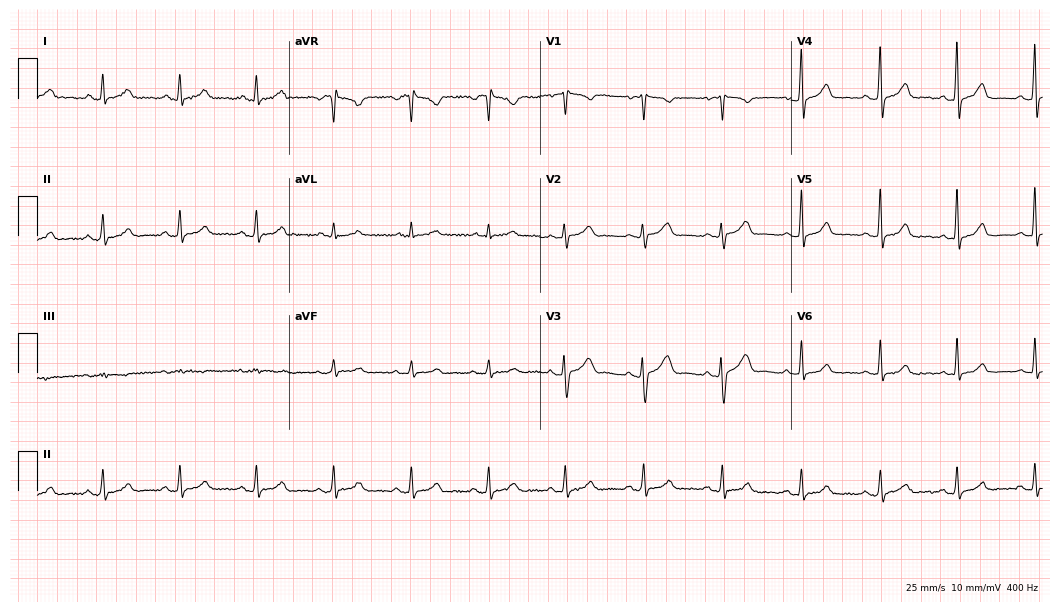
ECG (10.2-second recording at 400 Hz) — a 45-year-old female. Labelled as a normal ECG.